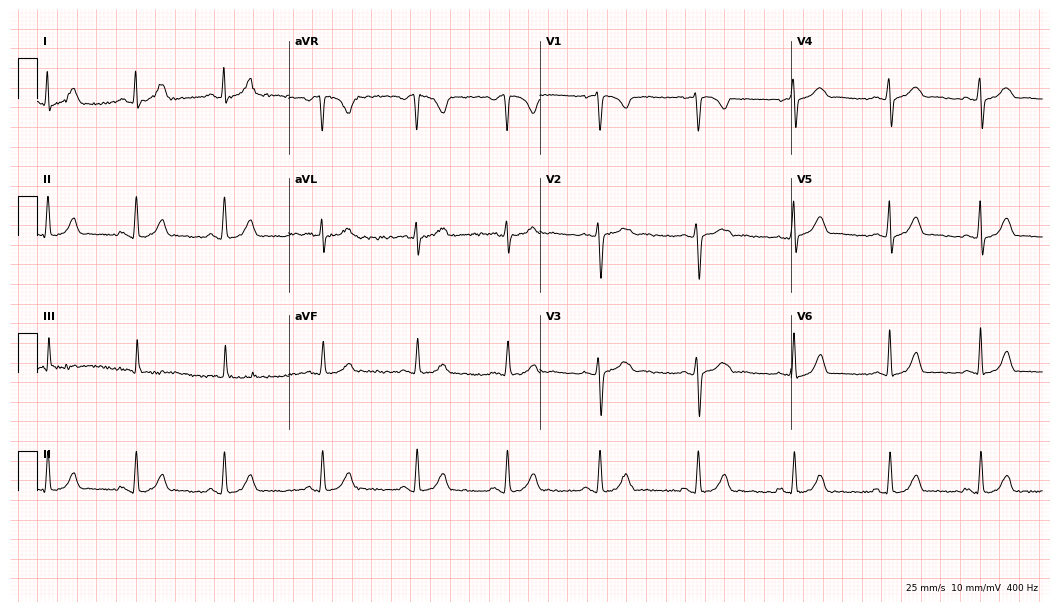
12-lead ECG (10.2-second recording at 400 Hz) from a 20-year-old female patient. Labelled as a normal ECG.